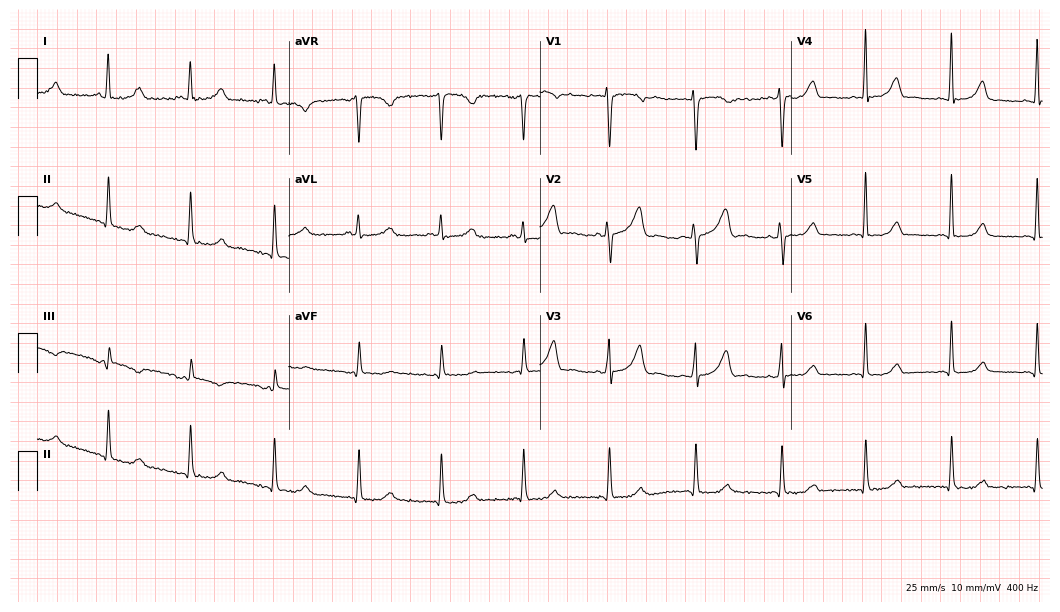
ECG (10.2-second recording at 400 Hz) — a 32-year-old female. Labelled as a normal ECG.